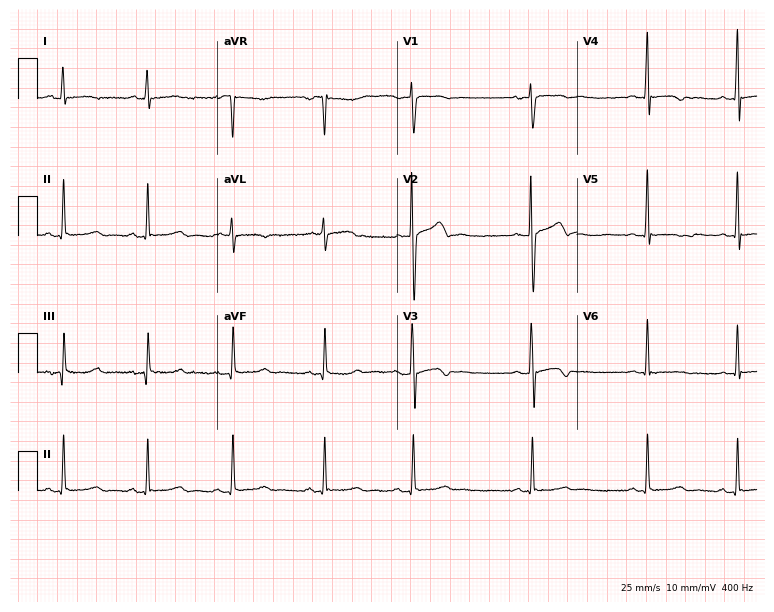
Standard 12-lead ECG recorded from a female, 28 years old. None of these six findings is recorded: first-degree AV block, right bundle branch block, left bundle branch block, sinus bradycardia, atrial fibrillation, sinus tachycardia.